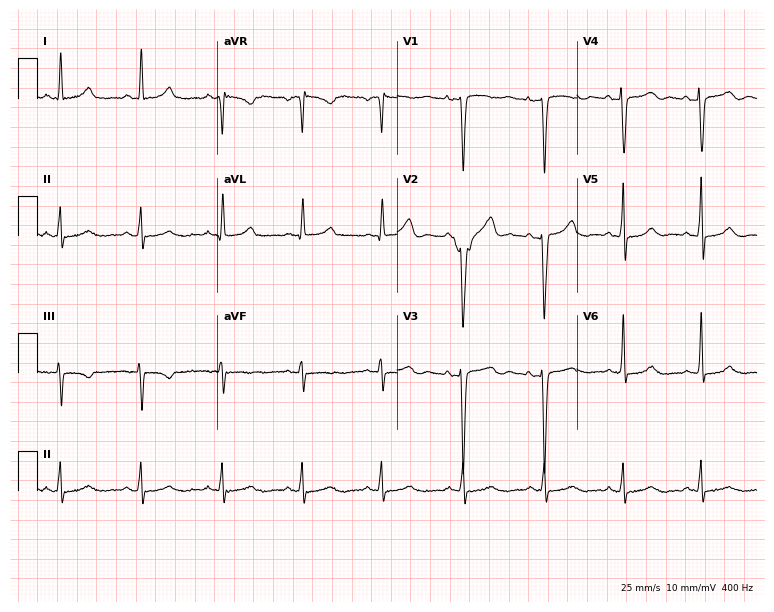
ECG — a 38-year-old female patient. Screened for six findings — first-degree AV block, right bundle branch block, left bundle branch block, sinus bradycardia, atrial fibrillation, sinus tachycardia — none is recorded.